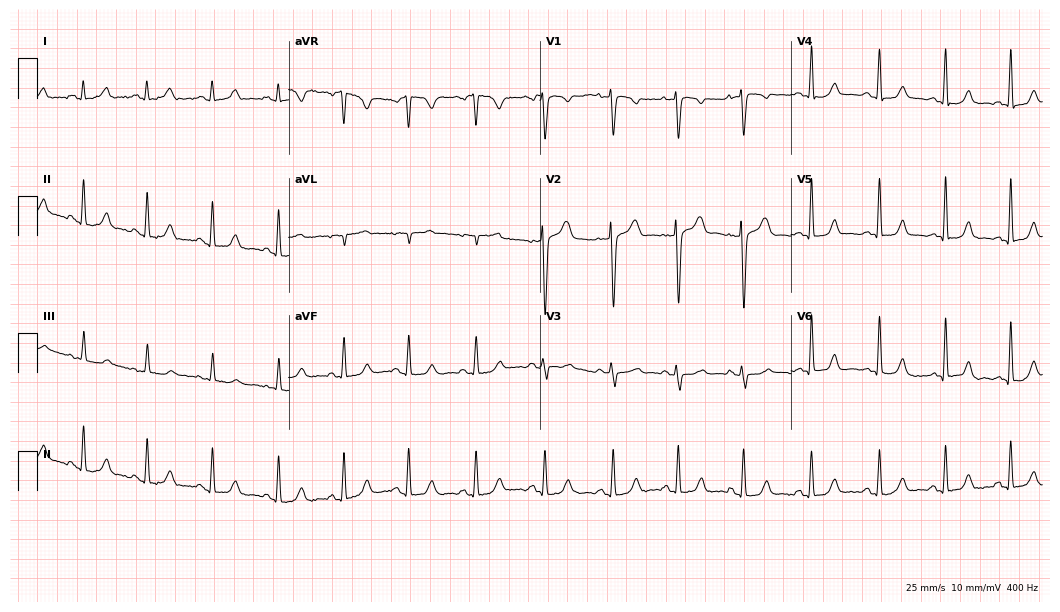
12-lead ECG from a 47-year-old female. Labelled as a normal ECG.